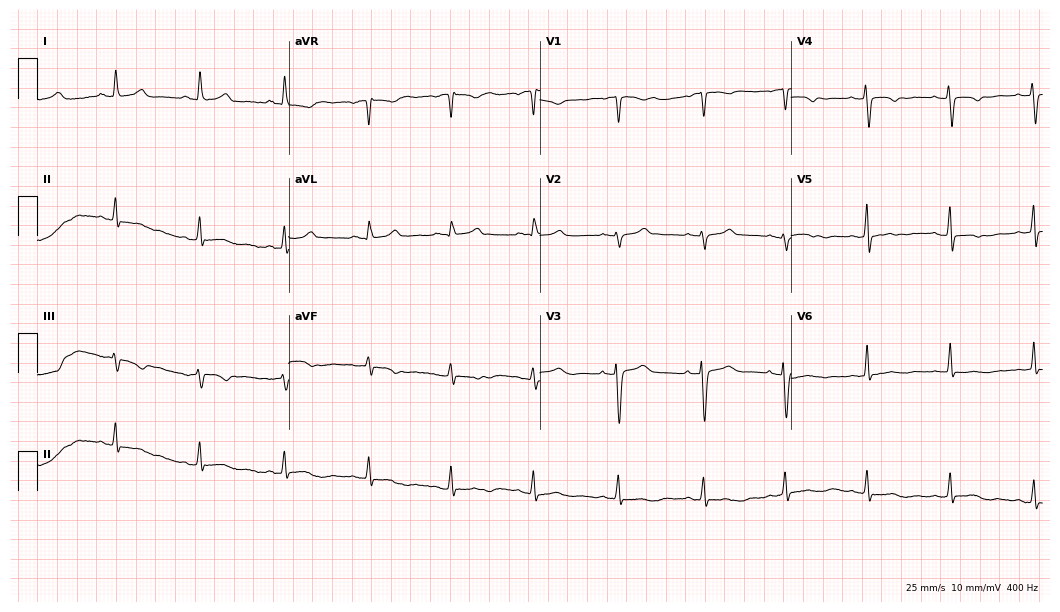
Resting 12-lead electrocardiogram. Patient: a female, 49 years old. None of these six findings is recorded: first-degree AV block, right bundle branch block, left bundle branch block, sinus bradycardia, atrial fibrillation, sinus tachycardia. Only these six findings were labelled.